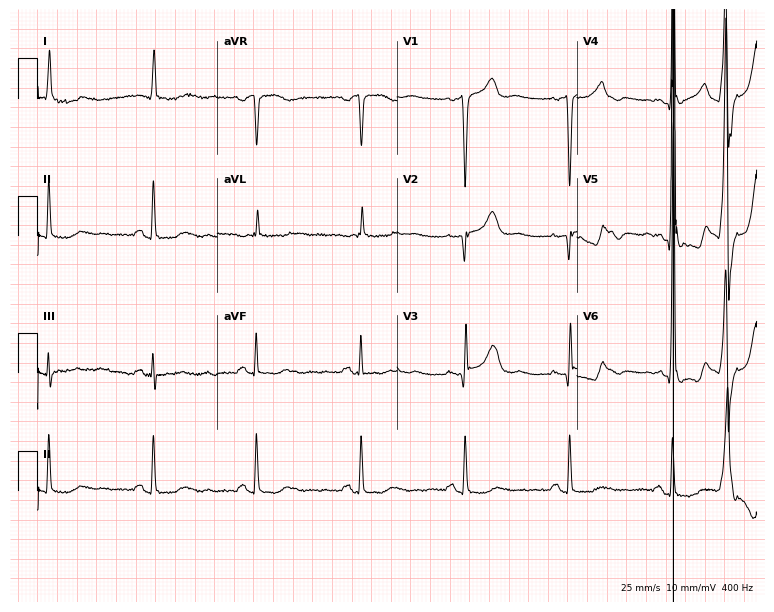
Electrocardiogram (7.3-second recording at 400 Hz), a male patient, 66 years old. Overall reading on record: normal ECG.